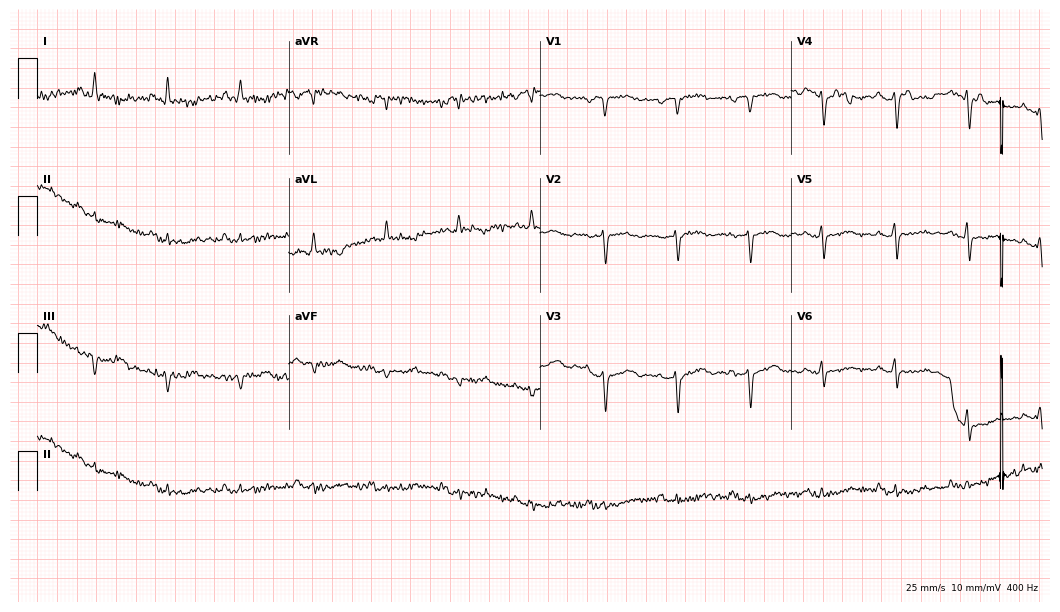
Electrocardiogram (10.2-second recording at 400 Hz), a 55-year-old female. Of the six screened findings (first-degree AV block, right bundle branch block, left bundle branch block, sinus bradycardia, atrial fibrillation, sinus tachycardia), none is recorded. Other findings, if any, are not listed.